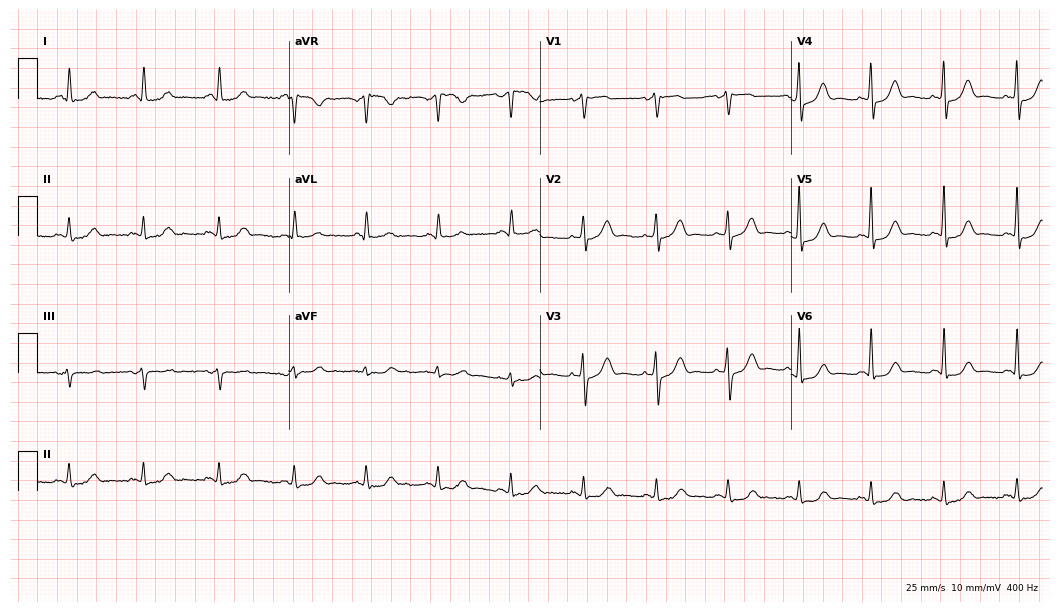
ECG — a female, 66 years old. Screened for six findings — first-degree AV block, right bundle branch block, left bundle branch block, sinus bradycardia, atrial fibrillation, sinus tachycardia — none is recorded. Findings outside these six are not listed.